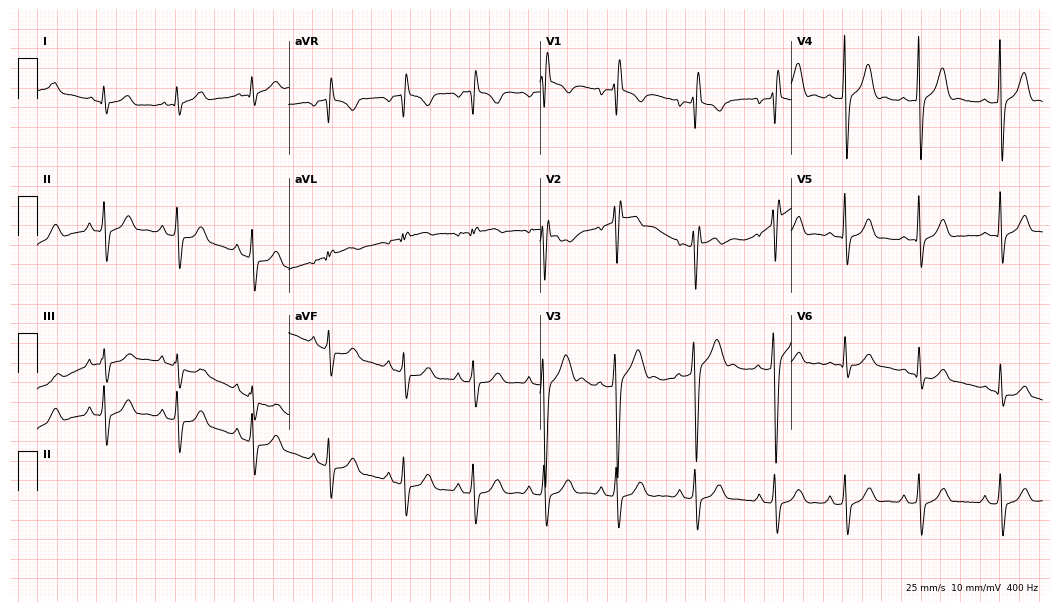
12-lead ECG from a 17-year-old male. Shows right bundle branch block (RBBB).